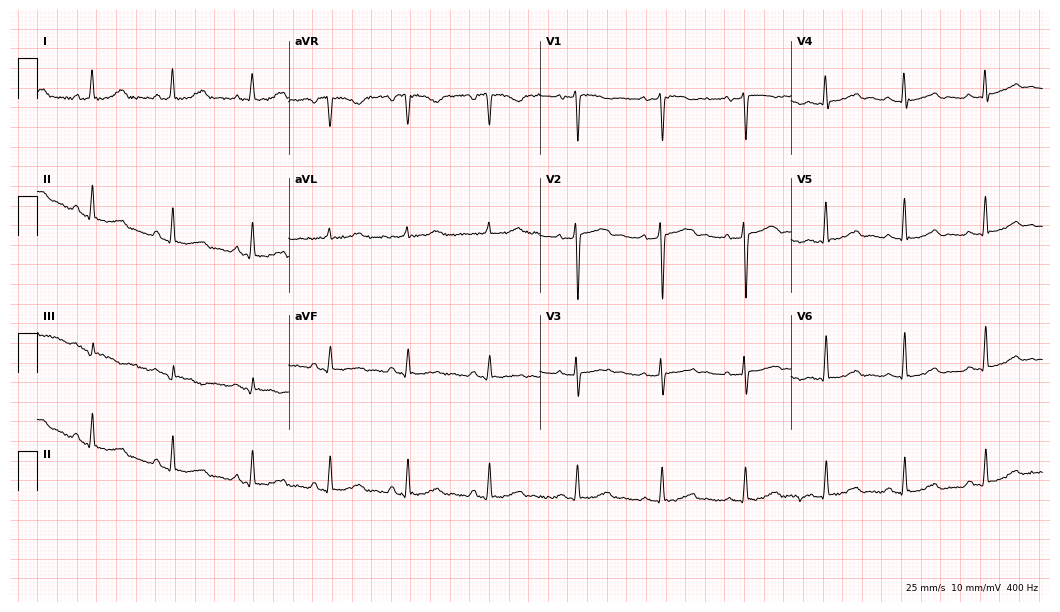
Standard 12-lead ECG recorded from a female patient, 48 years old. None of these six findings is recorded: first-degree AV block, right bundle branch block (RBBB), left bundle branch block (LBBB), sinus bradycardia, atrial fibrillation (AF), sinus tachycardia. Only these six findings were labelled.